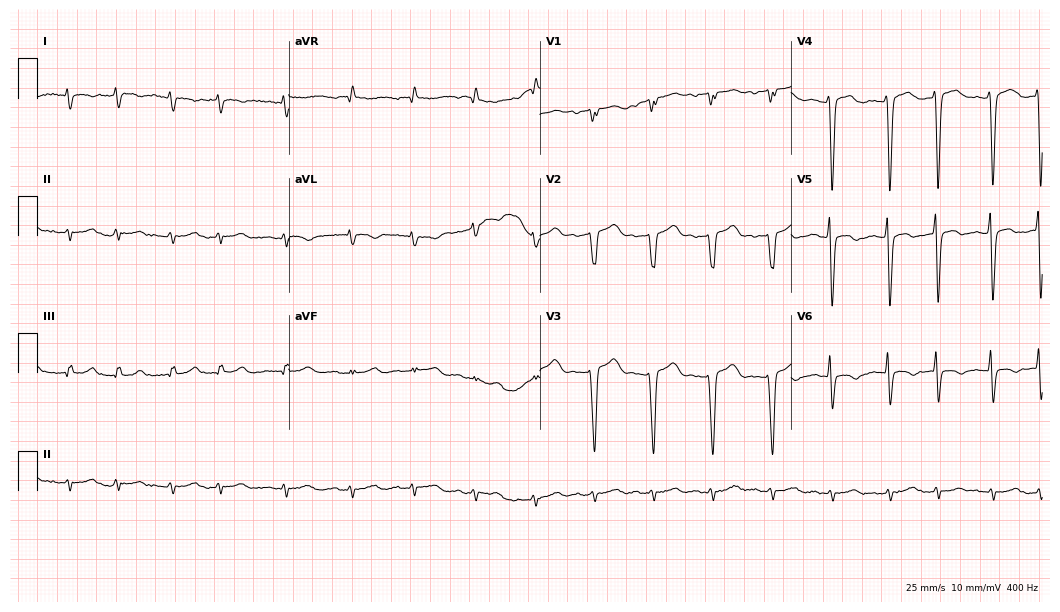
12-lead ECG (10.2-second recording at 400 Hz) from a male patient, 75 years old. Findings include sinus tachycardia (a sinus rate of 100 beats per minute or more).